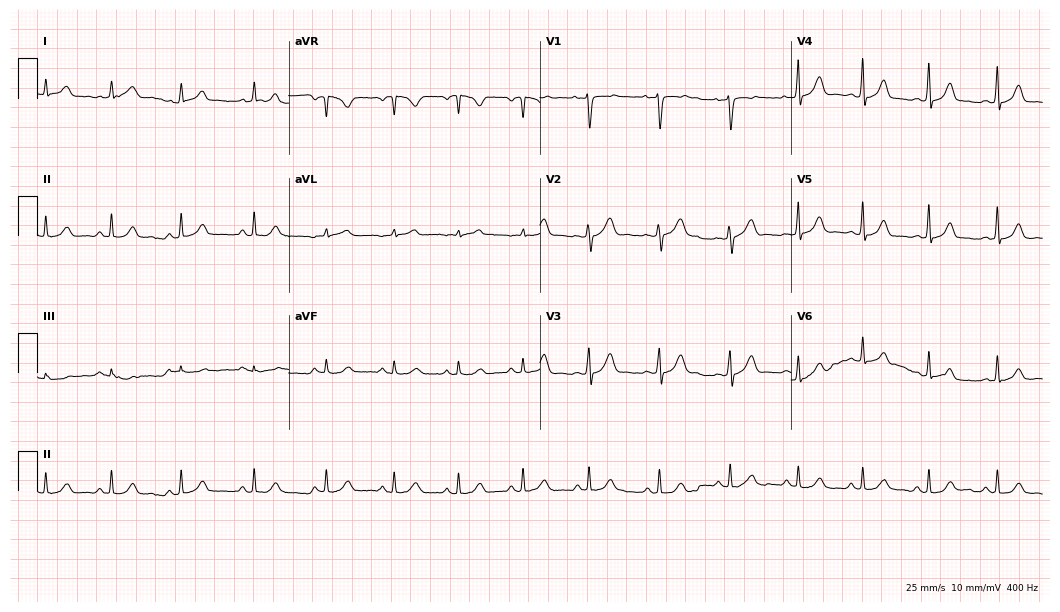
ECG (10.2-second recording at 400 Hz) — a woman, 32 years old. Screened for six findings — first-degree AV block, right bundle branch block (RBBB), left bundle branch block (LBBB), sinus bradycardia, atrial fibrillation (AF), sinus tachycardia — none is recorded. Other findings, if any, are not listed.